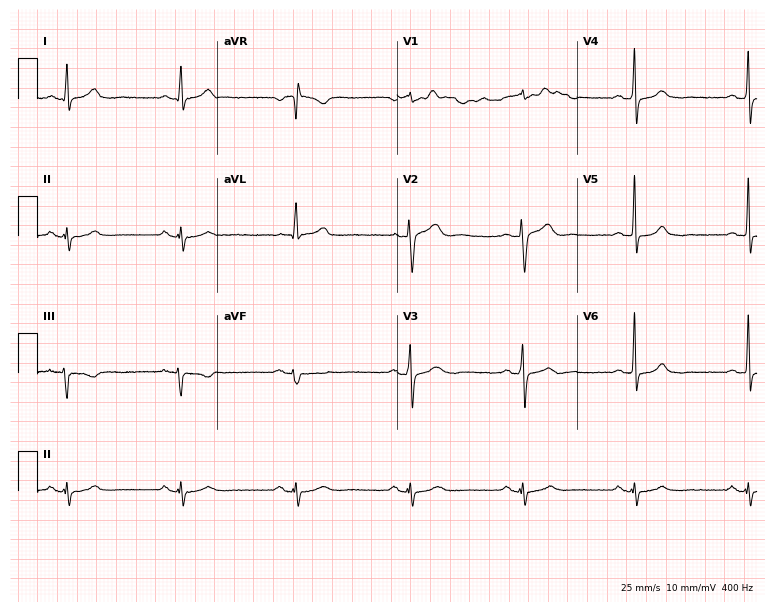
Resting 12-lead electrocardiogram. Patient: a man, 53 years old. None of these six findings is recorded: first-degree AV block, right bundle branch block, left bundle branch block, sinus bradycardia, atrial fibrillation, sinus tachycardia.